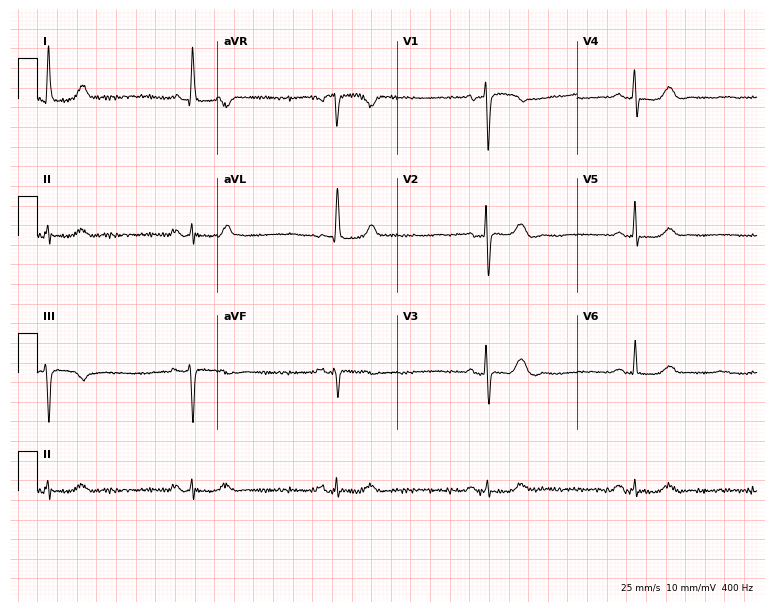
12-lead ECG (7.3-second recording at 400 Hz) from a 72-year-old female patient. Findings include sinus bradycardia (a sinus rate of 50 beats per minute or less).